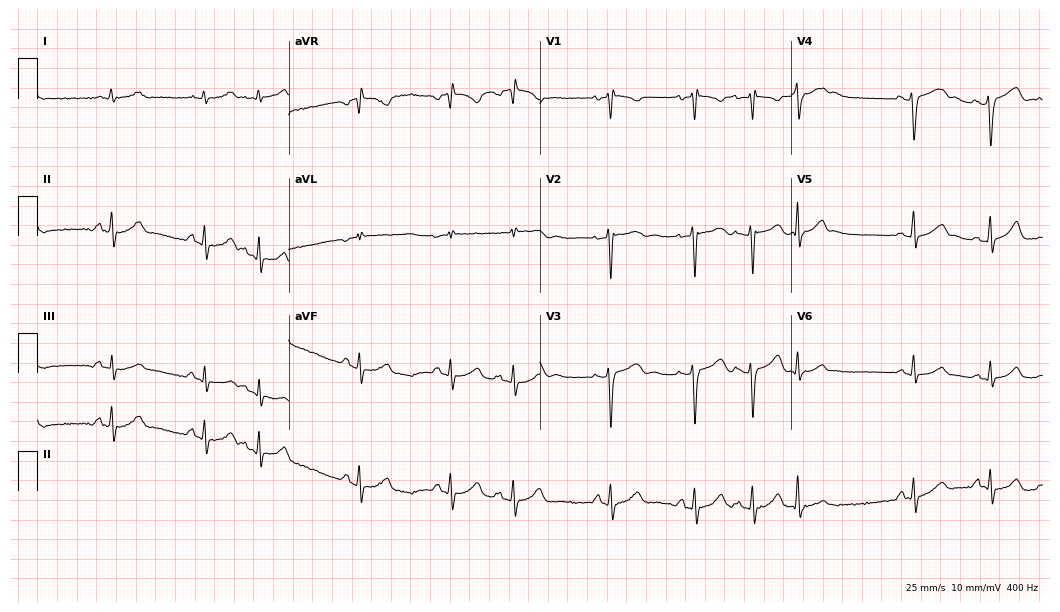
Electrocardiogram (10.2-second recording at 400 Hz), a 25-year-old female. Of the six screened findings (first-degree AV block, right bundle branch block, left bundle branch block, sinus bradycardia, atrial fibrillation, sinus tachycardia), none is recorded. Only these six findings were labelled.